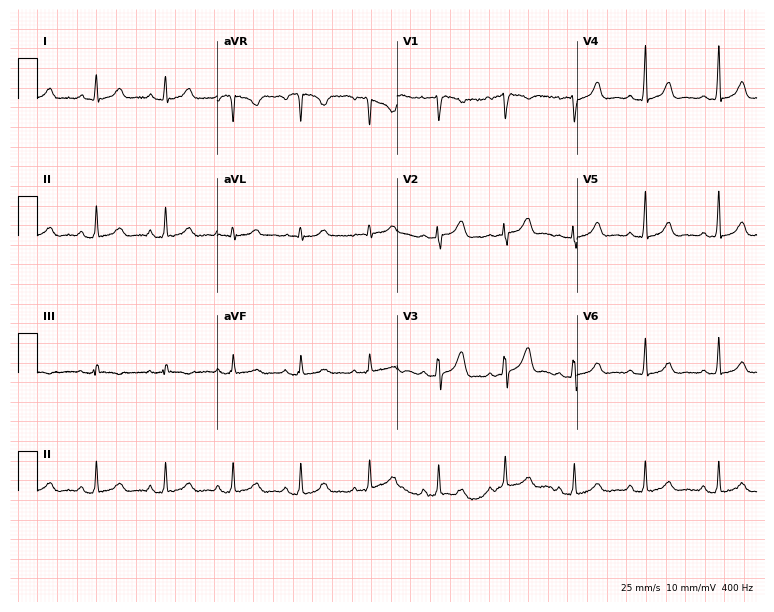
Resting 12-lead electrocardiogram. Patient: a woman, 35 years old. Read as a normal ECG.